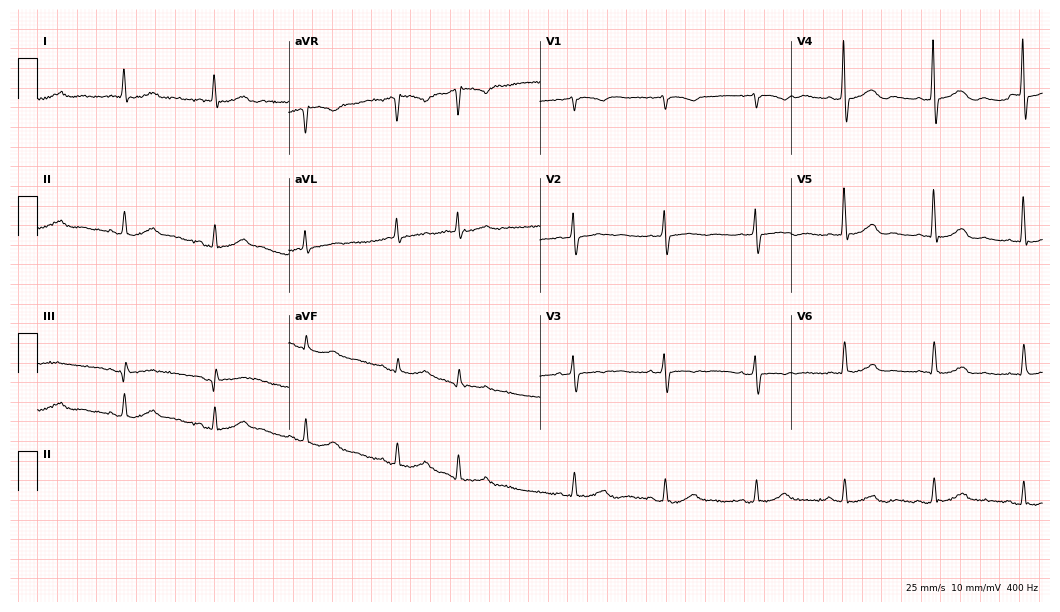
ECG (10.2-second recording at 400 Hz) — a female patient, 80 years old. Screened for six findings — first-degree AV block, right bundle branch block (RBBB), left bundle branch block (LBBB), sinus bradycardia, atrial fibrillation (AF), sinus tachycardia — none is recorded.